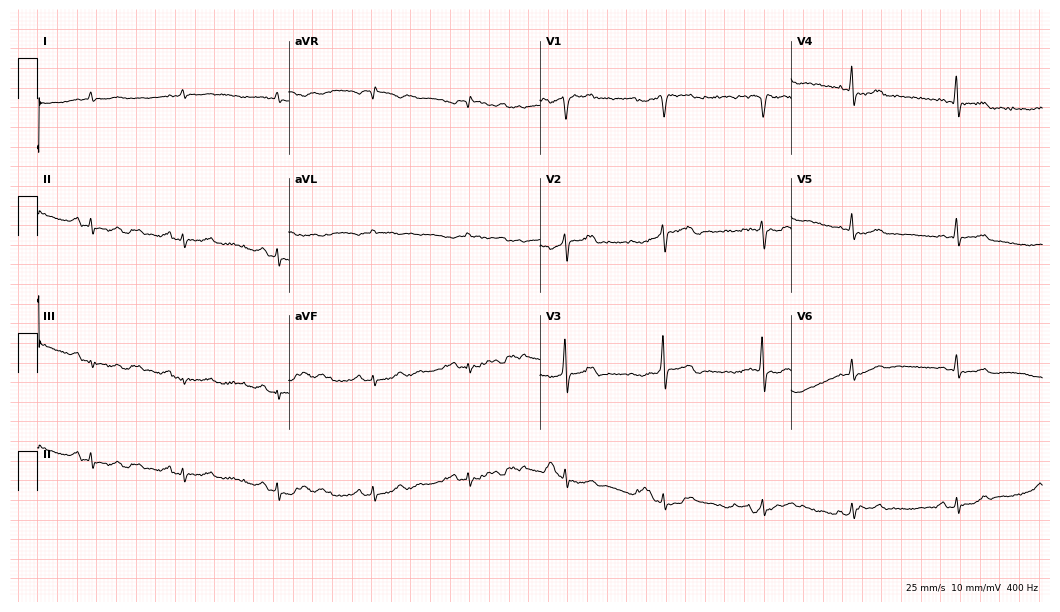
Resting 12-lead electrocardiogram (10.2-second recording at 400 Hz). Patient: a 61-year-old male. Read as a normal ECG.